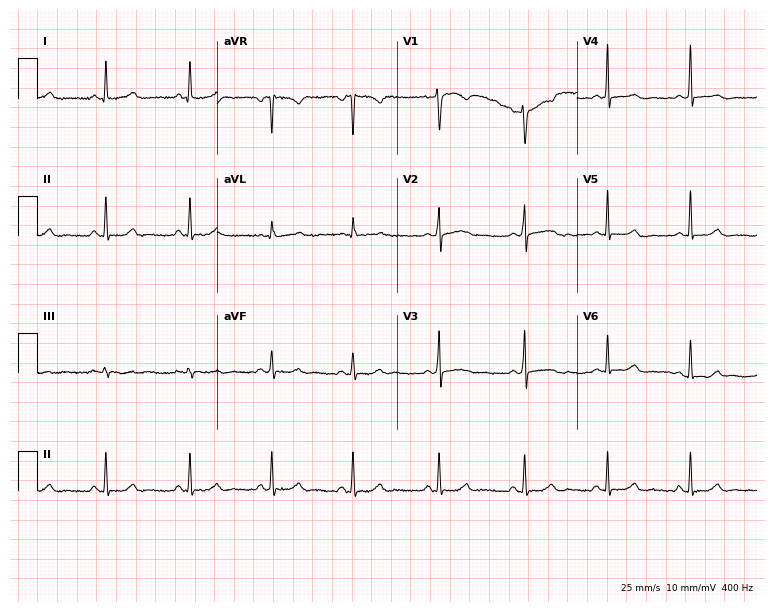
12-lead ECG from a female, 26 years old. Recorded interpretation: within normal limits.